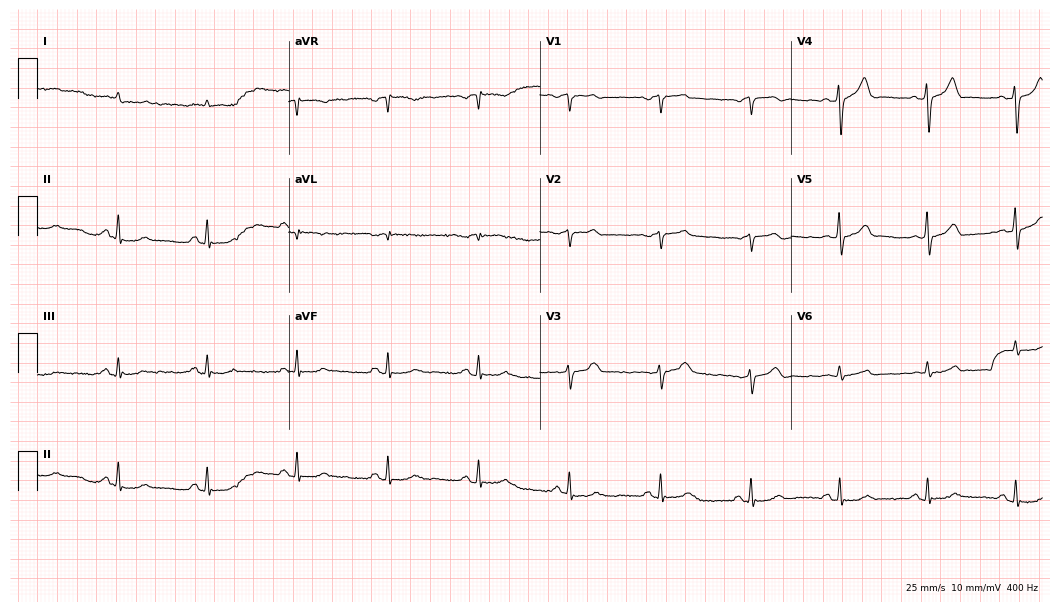
Resting 12-lead electrocardiogram. Patient: a 66-year-old male. None of these six findings is recorded: first-degree AV block, right bundle branch block (RBBB), left bundle branch block (LBBB), sinus bradycardia, atrial fibrillation (AF), sinus tachycardia. Only these six findings were labelled.